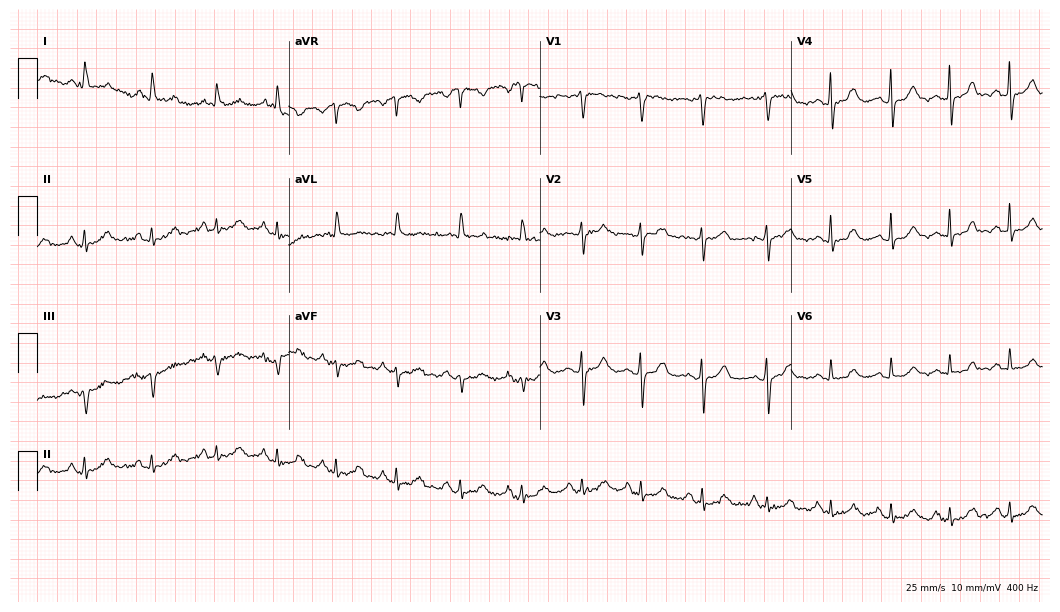
12-lead ECG from a 59-year-old woman. Labelled as a normal ECG.